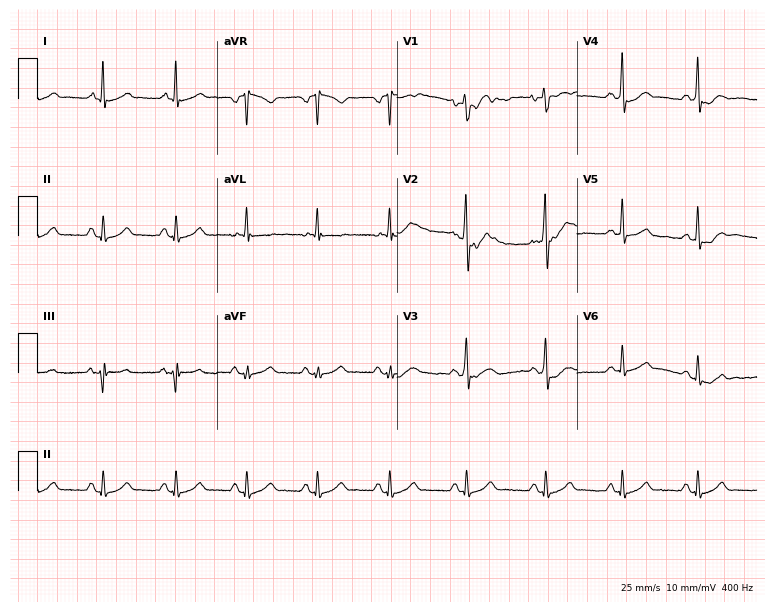
Resting 12-lead electrocardiogram (7.3-second recording at 400 Hz). Patient: a 33-year-old male. Read as a normal ECG.